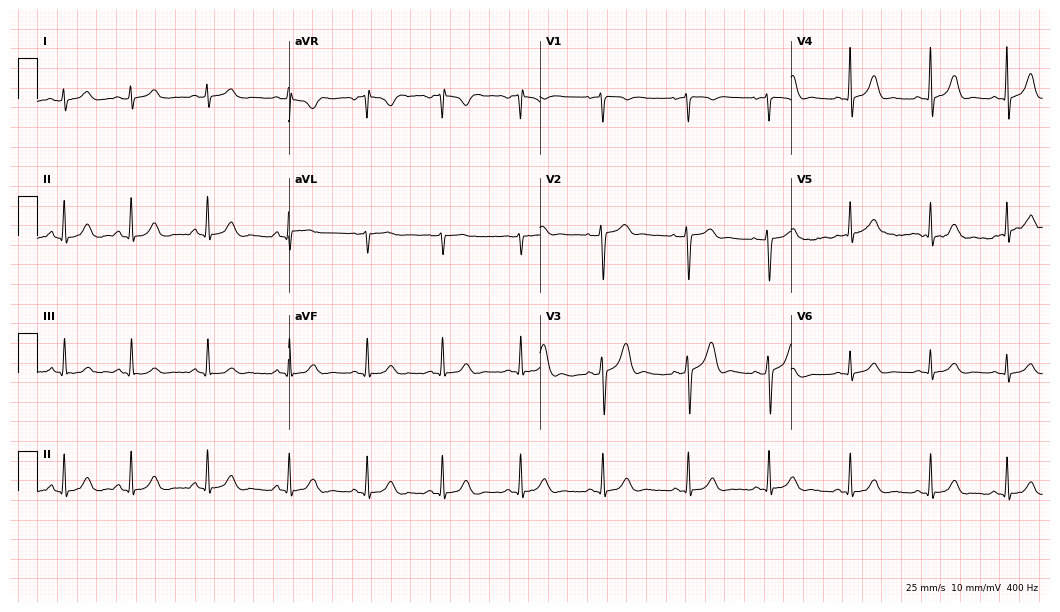
12-lead ECG from a female, 42 years old (10.2-second recording at 400 Hz). Recorded interpretation: within normal limits.